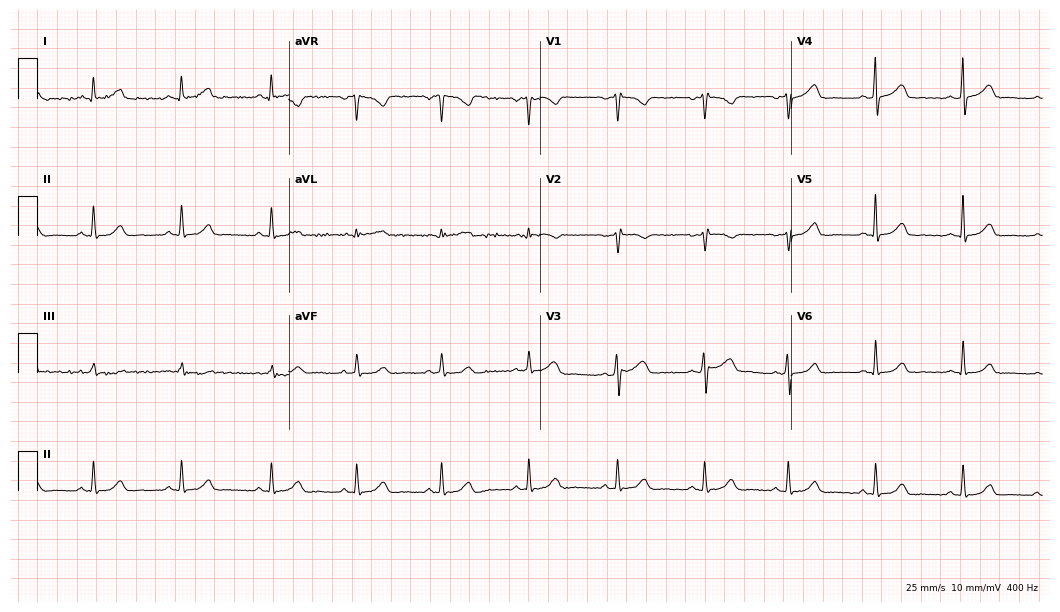
12-lead ECG from a 44-year-old female. Labelled as a normal ECG.